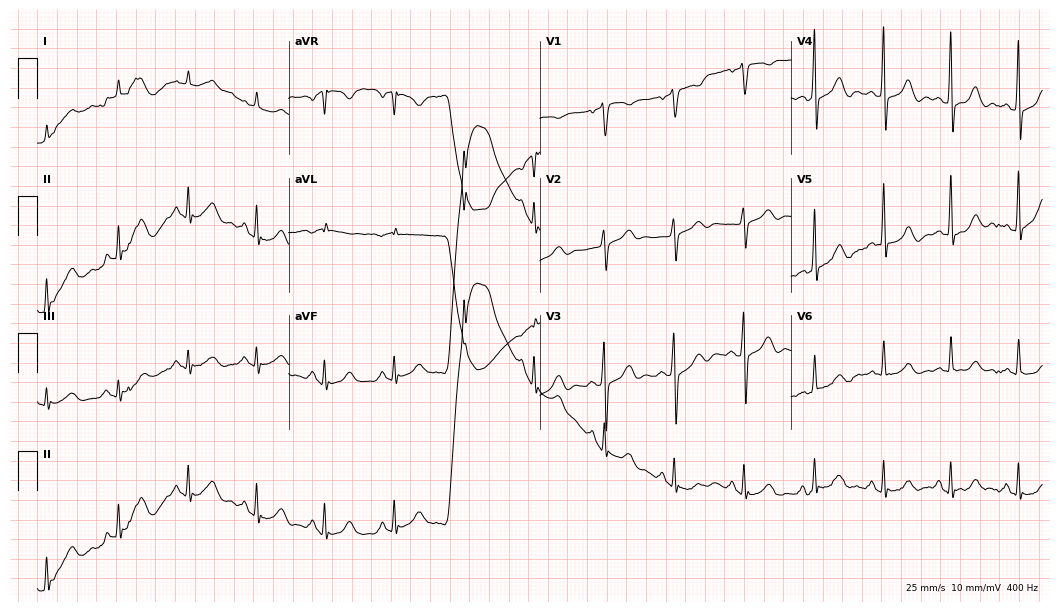
Electrocardiogram (10.2-second recording at 400 Hz), a 70-year-old man. Overall reading on record: normal ECG.